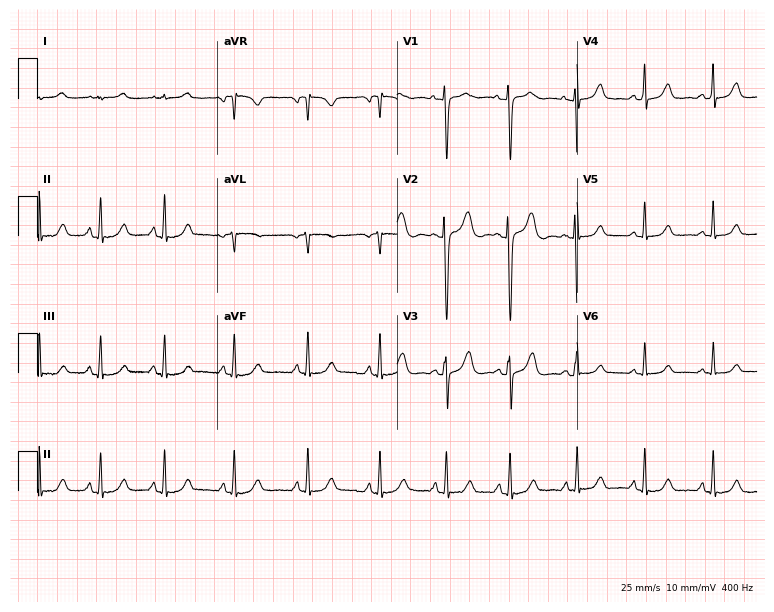
ECG (7.3-second recording at 400 Hz) — a 35-year-old female. Labelled as a normal ECG.